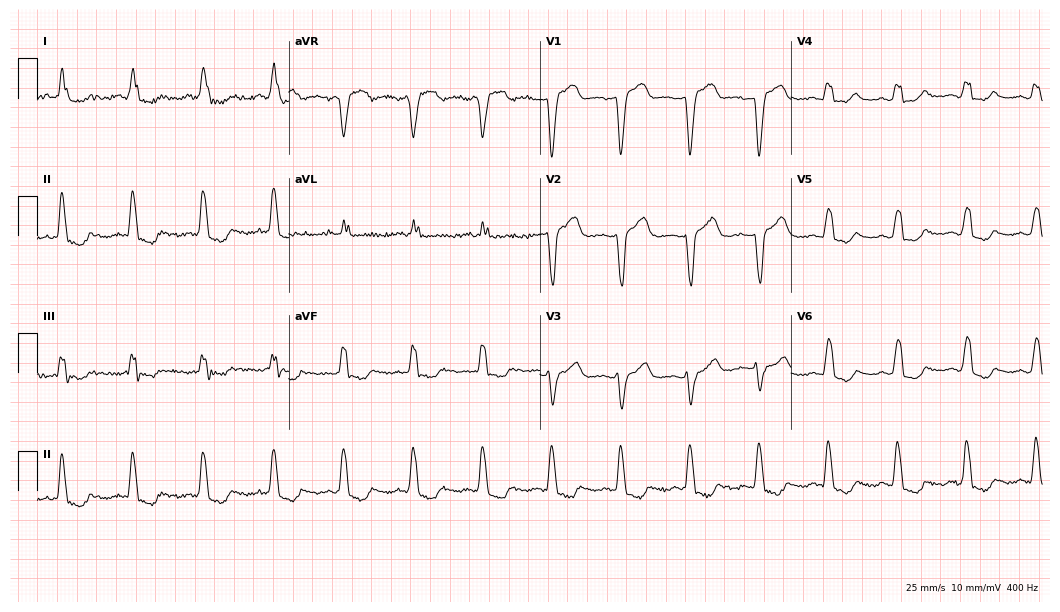
Electrocardiogram (10.2-second recording at 400 Hz), a 67-year-old female. Of the six screened findings (first-degree AV block, right bundle branch block, left bundle branch block, sinus bradycardia, atrial fibrillation, sinus tachycardia), none is recorded.